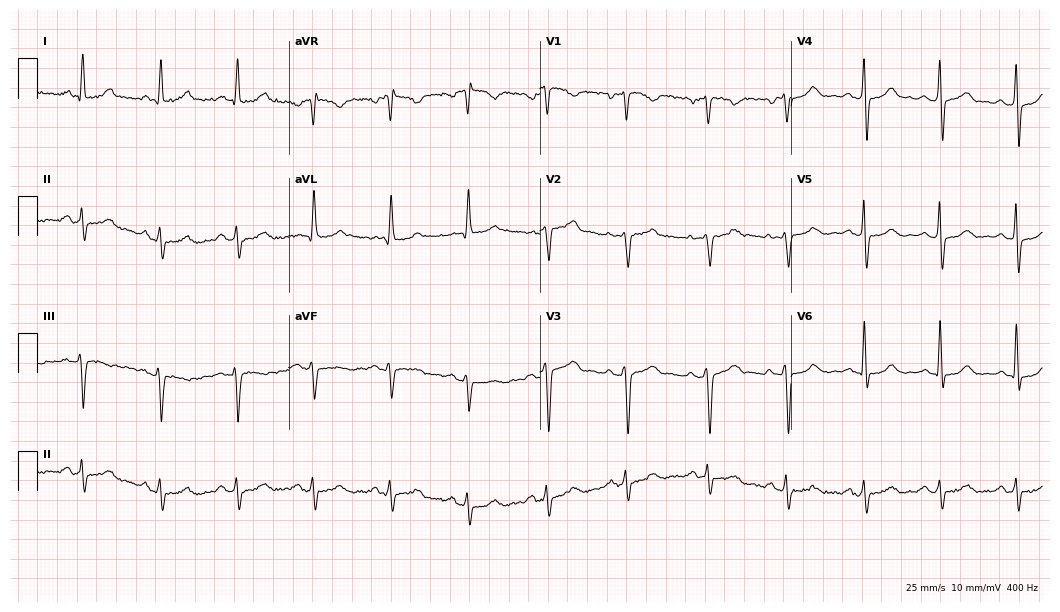
Standard 12-lead ECG recorded from a male patient, 52 years old (10.2-second recording at 400 Hz). None of these six findings is recorded: first-degree AV block, right bundle branch block, left bundle branch block, sinus bradycardia, atrial fibrillation, sinus tachycardia.